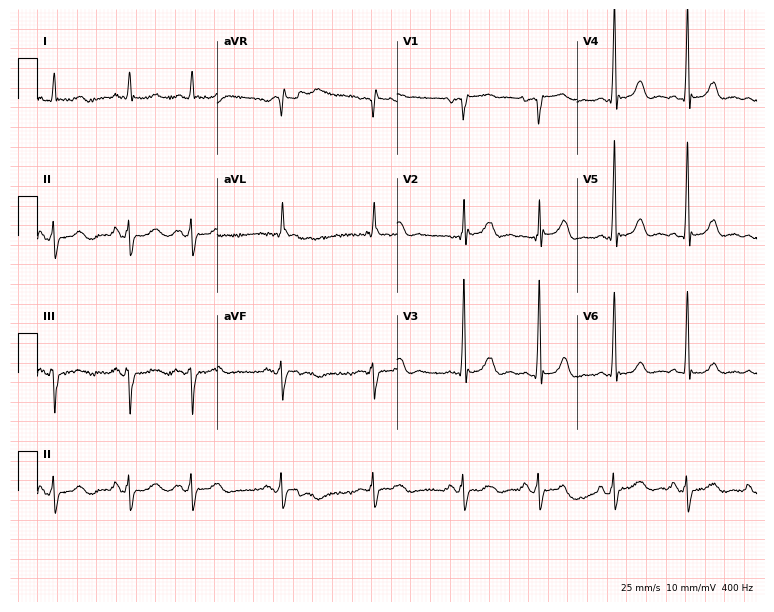
Electrocardiogram (7.3-second recording at 400 Hz), a 70-year-old male patient. Overall reading on record: normal ECG.